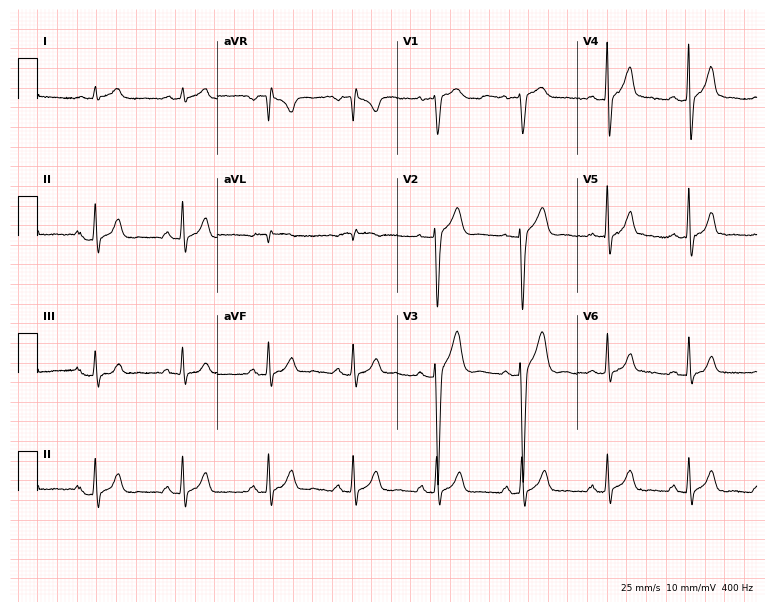
Electrocardiogram, a 36-year-old male patient. Overall reading on record: normal ECG.